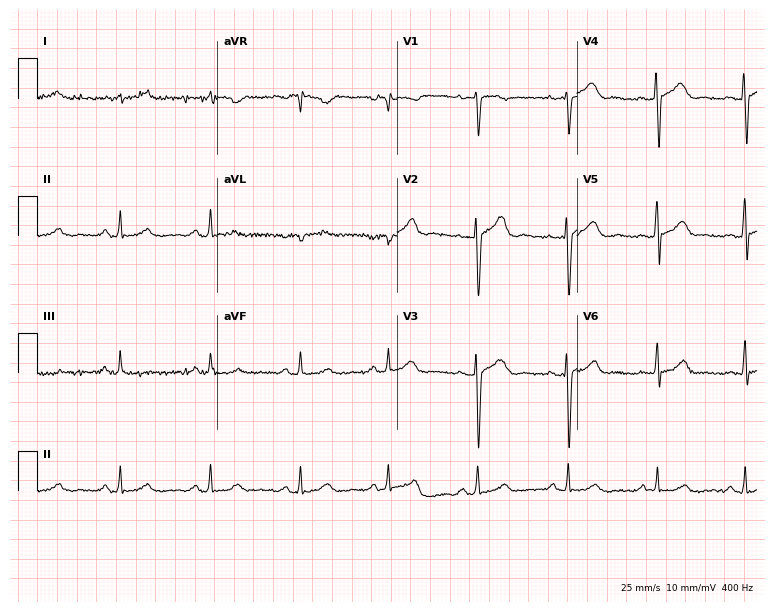
ECG (7.3-second recording at 400 Hz) — a male patient, 33 years old. Labelled as a normal ECG.